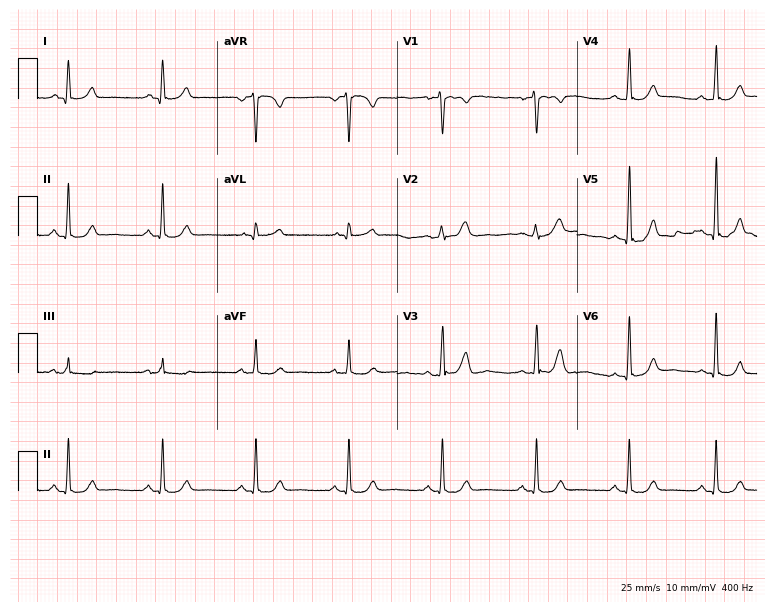
12-lead ECG from a female patient, 30 years old. Labelled as a normal ECG.